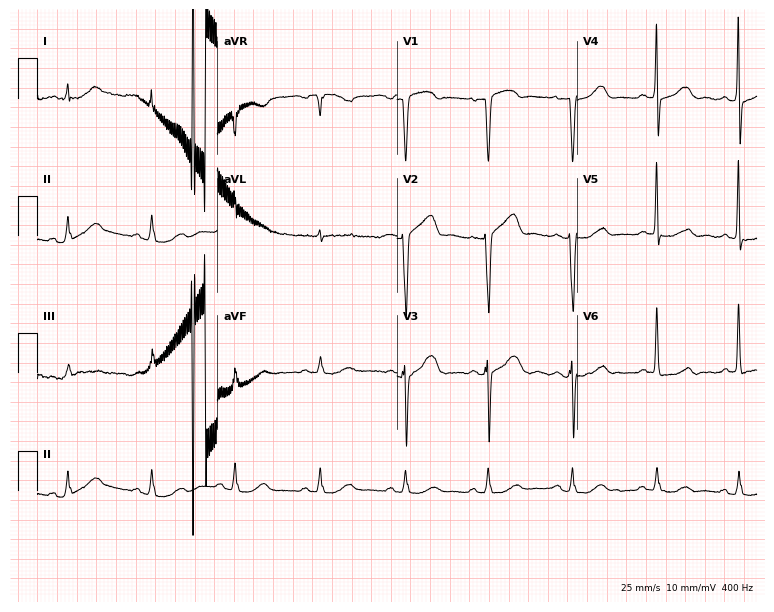
12-lead ECG from a female, 61 years old (7.3-second recording at 400 Hz). Recorded interpretation: within normal limits.